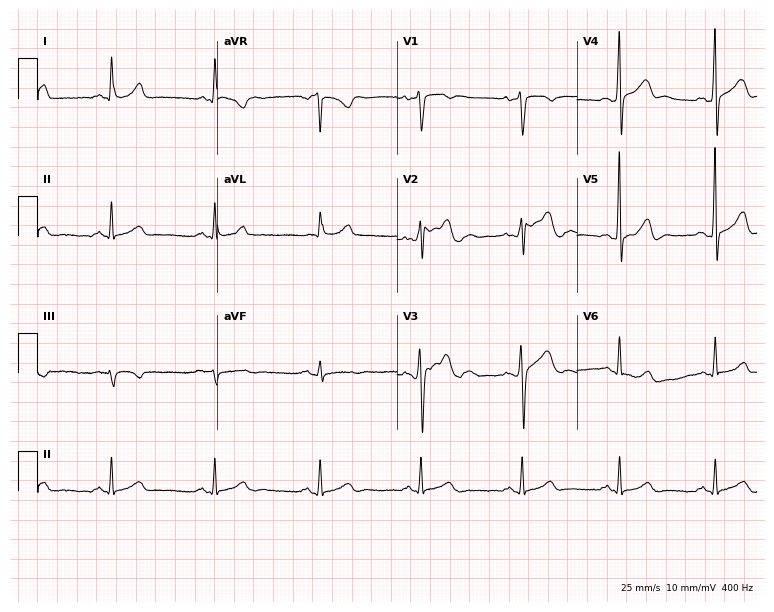
Electrocardiogram, a man, 38 years old. Of the six screened findings (first-degree AV block, right bundle branch block (RBBB), left bundle branch block (LBBB), sinus bradycardia, atrial fibrillation (AF), sinus tachycardia), none is recorded. Other findings, if any, are not listed.